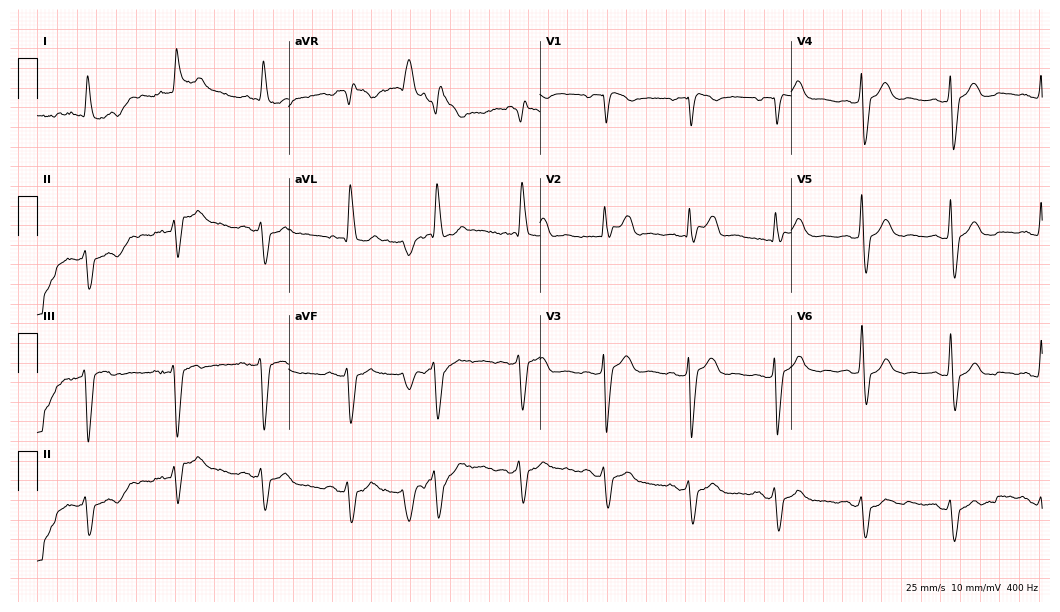
Electrocardiogram, a man, 88 years old. Of the six screened findings (first-degree AV block, right bundle branch block, left bundle branch block, sinus bradycardia, atrial fibrillation, sinus tachycardia), none is recorded. Other findings, if any, are not listed.